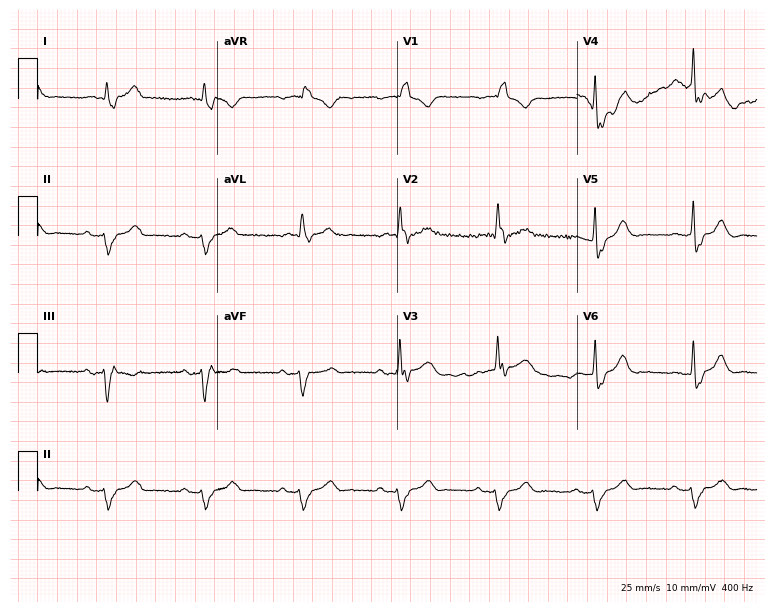
12-lead ECG from a man, 78 years old. Findings include right bundle branch block.